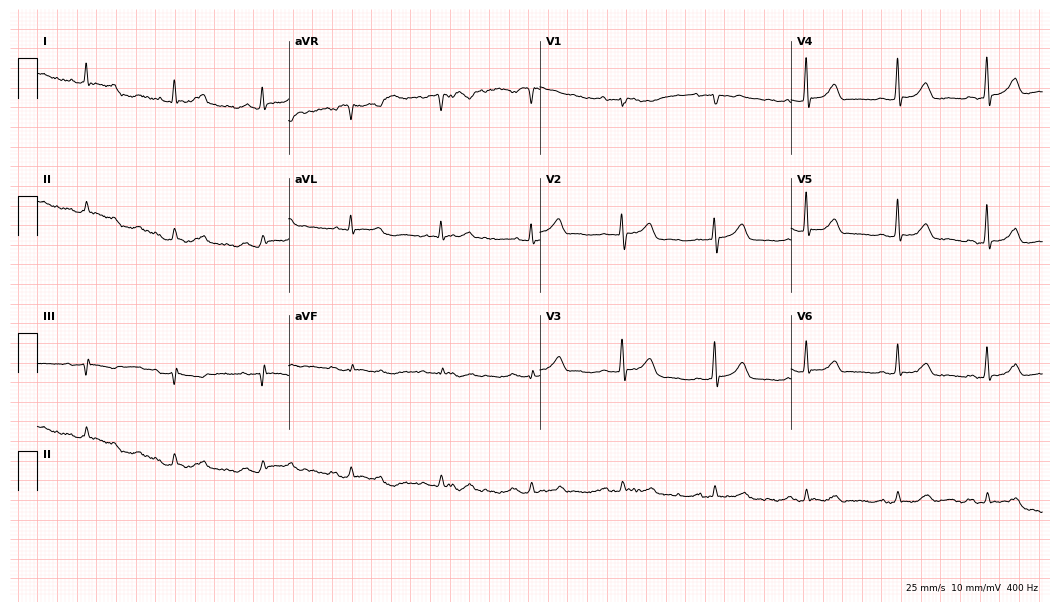
Resting 12-lead electrocardiogram (10.2-second recording at 400 Hz). Patient: a male, 72 years old. Read as a normal ECG.